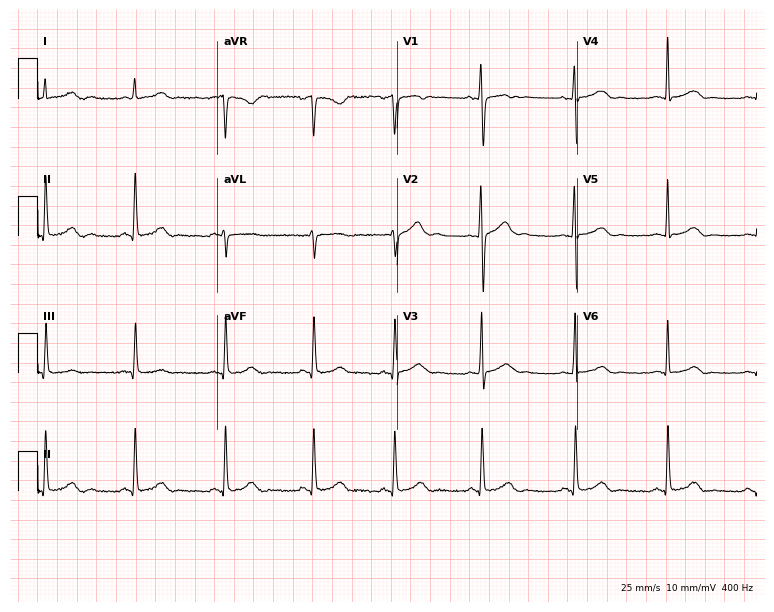
Standard 12-lead ECG recorded from a female, 22 years old (7.3-second recording at 400 Hz). Read as a normal ECG.